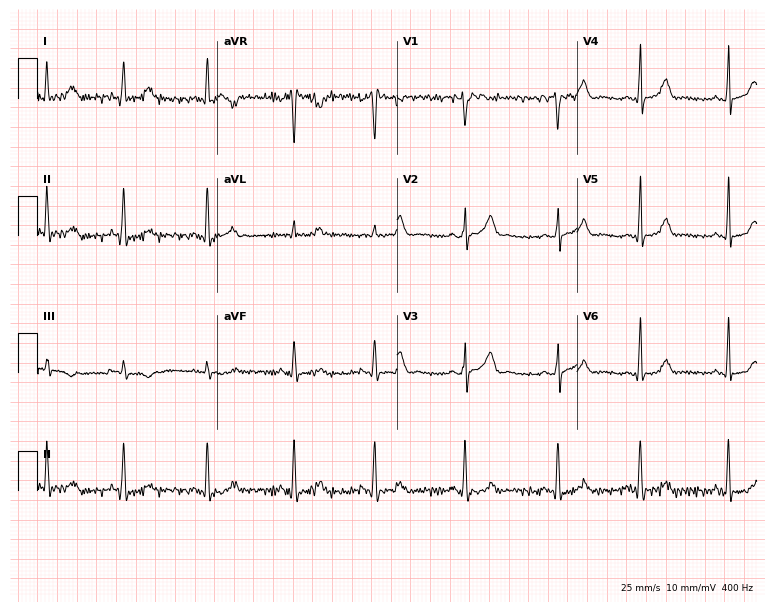
Electrocardiogram, a female, 32 years old. Of the six screened findings (first-degree AV block, right bundle branch block (RBBB), left bundle branch block (LBBB), sinus bradycardia, atrial fibrillation (AF), sinus tachycardia), none is recorded. Findings outside these six are not listed.